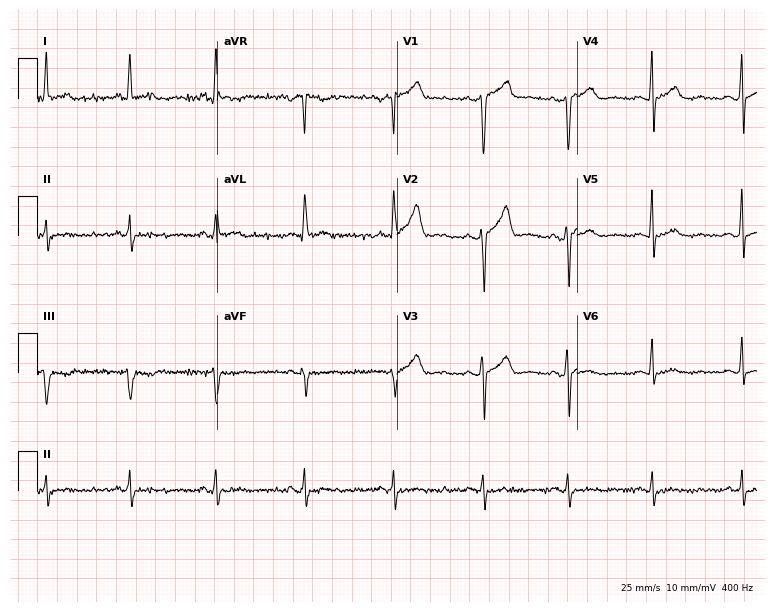
ECG (7.3-second recording at 400 Hz) — a male, 37 years old. Screened for six findings — first-degree AV block, right bundle branch block (RBBB), left bundle branch block (LBBB), sinus bradycardia, atrial fibrillation (AF), sinus tachycardia — none is recorded.